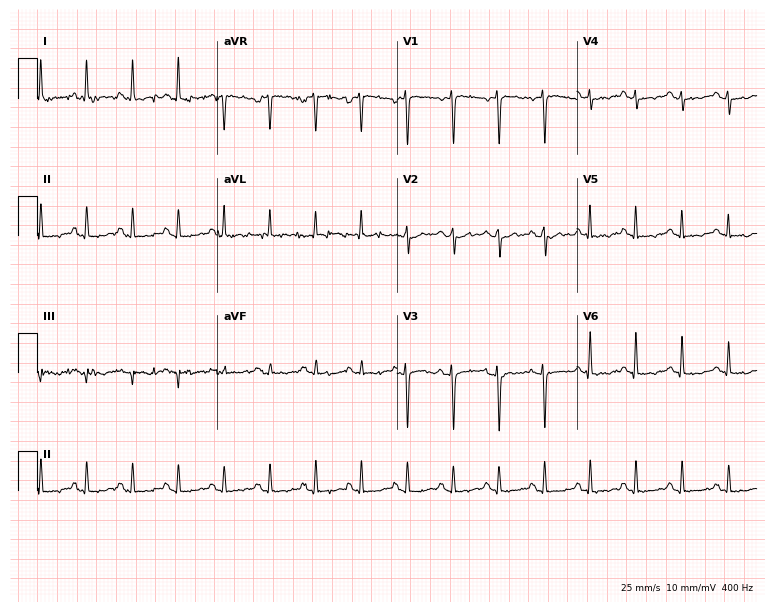
12-lead ECG from a 44-year-old woman (7.3-second recording at 400 Hz). Shows sinus tachycardia (a sinus rate of 100 beats per minute or more).